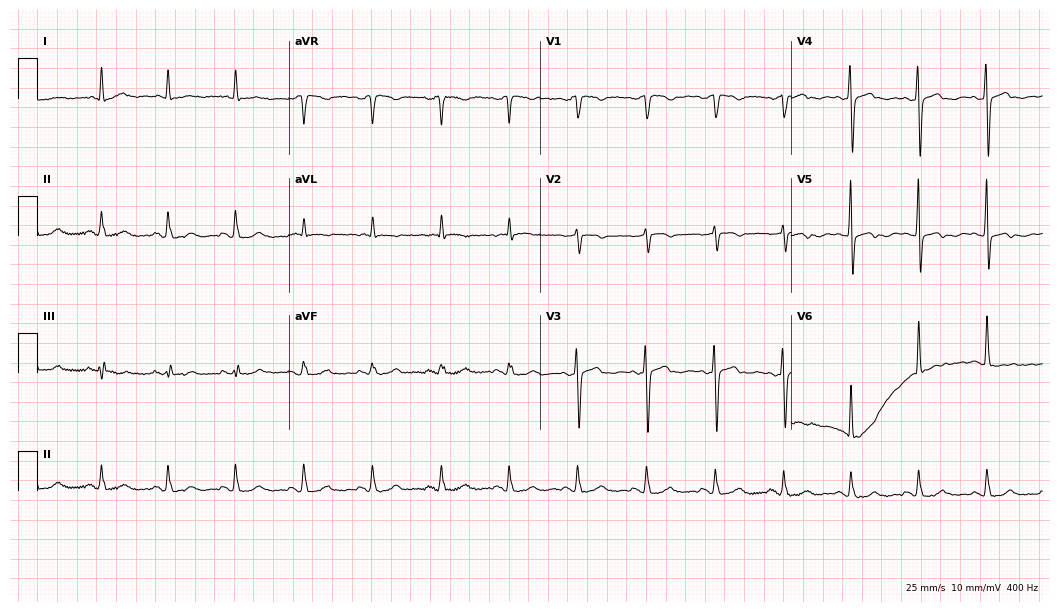
Standard 12-lead ECG recorded from a 77-year-old woman. None of these six findings is recorded: first-degree AV block, right bundle branch block (RBBB), left bundle branch block (LBBB), sinus bradycardia, atrial fibrillation (AF), sinus tachycardia. Findings outside these six are not listed.